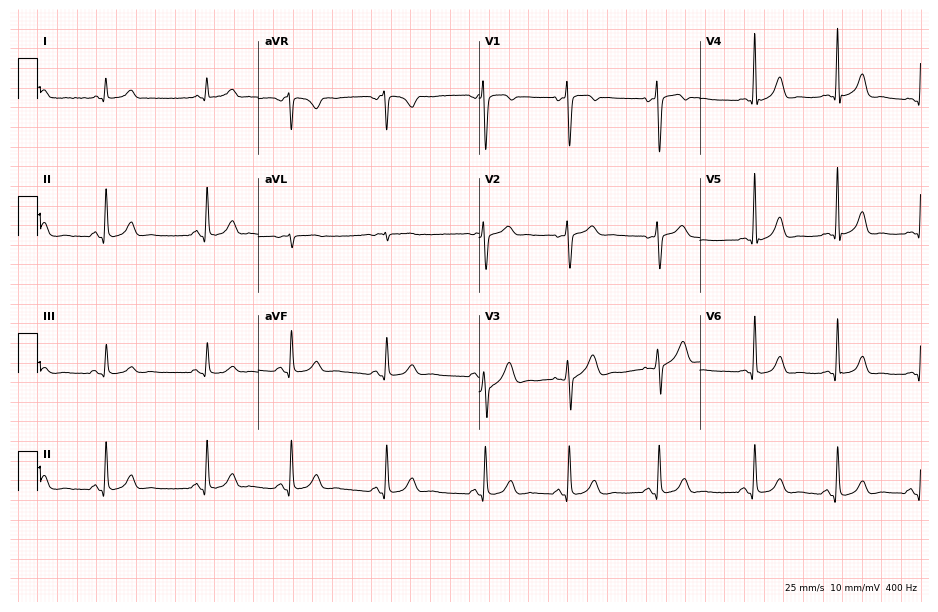
12-lead ECG (9-second recording at 400 Hz) from a 34-year-old female. Labelled as a normal ECG.